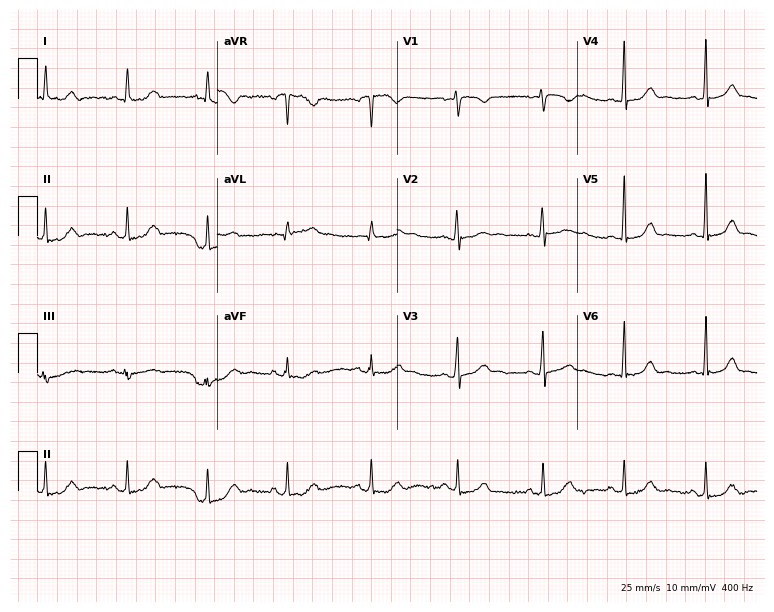
Standard 12-lead ECG recorded from a 45-year-old woman. Read as a normal ECG.